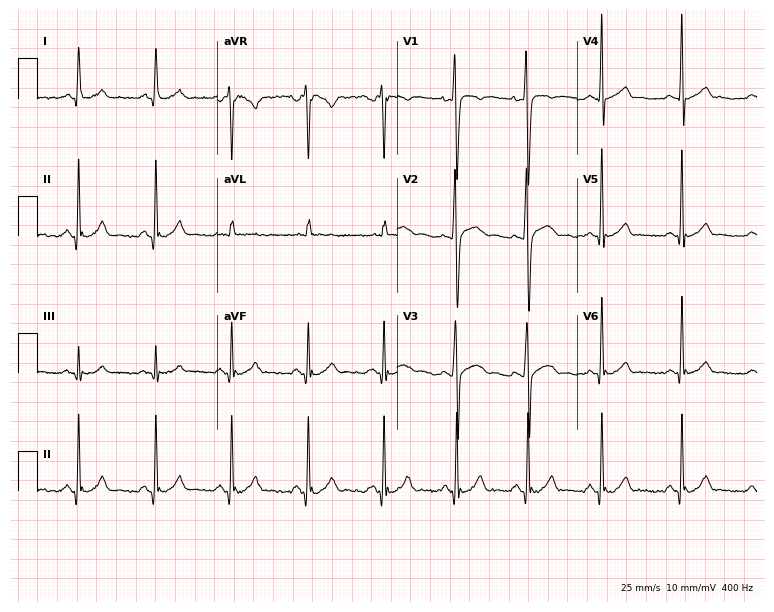
Resting 12-lead electrocardiogram. Patient: a male, 23 years old. Read as a normal ECG.